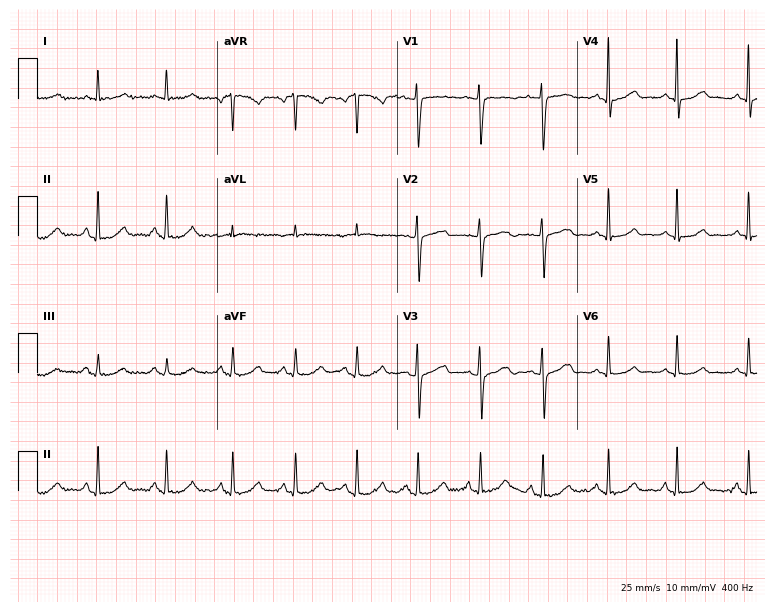
Standard 12-lead ECG recorded from a 44-year-old woman. Read as a normal ECG.